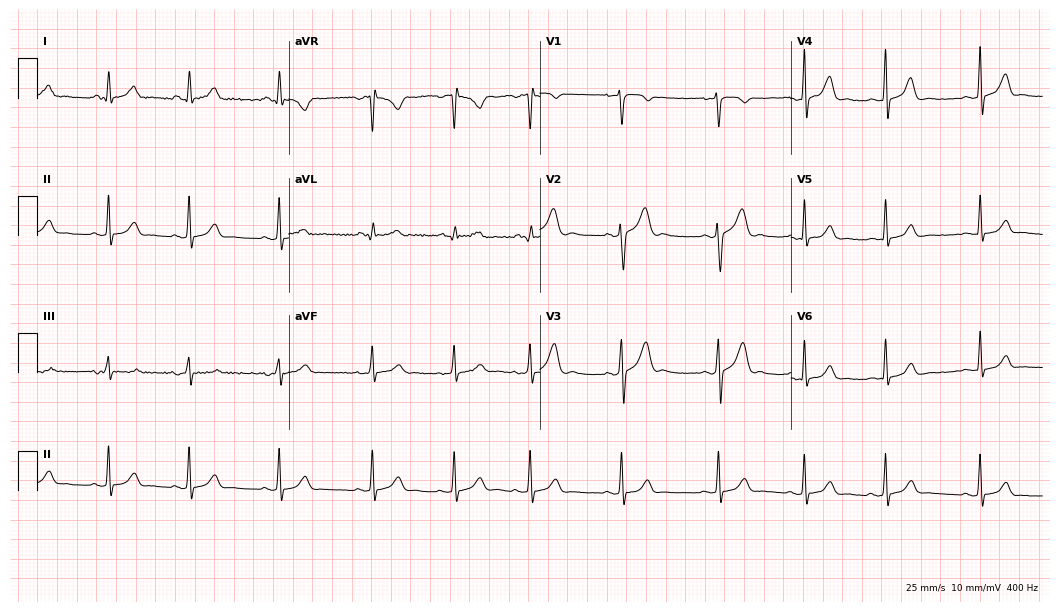
ECG — a female, 21 years old. Screened for six findings — first-degree AV block, right bundle branch block, left bundle branch block, sinus bradycardia, atrial fibrillation, sinus tachycardia — none is recorded.